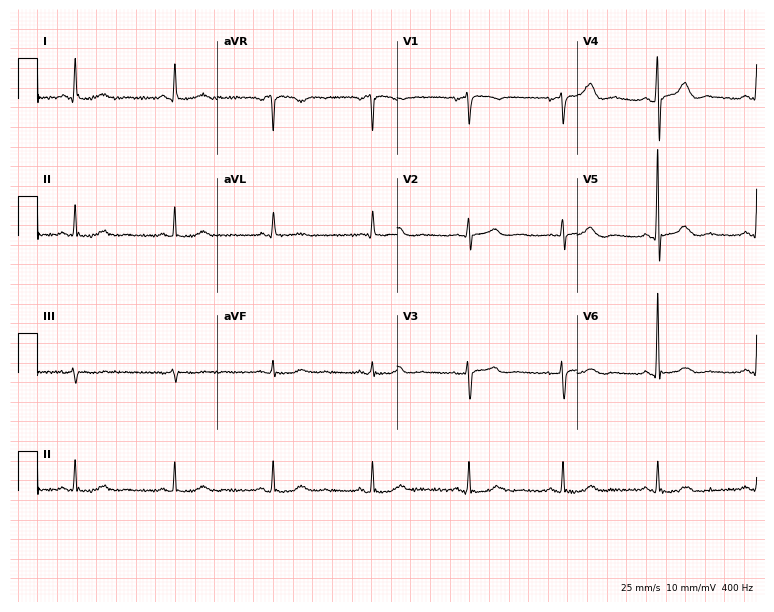
12-lead ECG from a female patient, 85 years old (7.3-second recording at 400 Hz). Recorded interpretation: within normal limits.